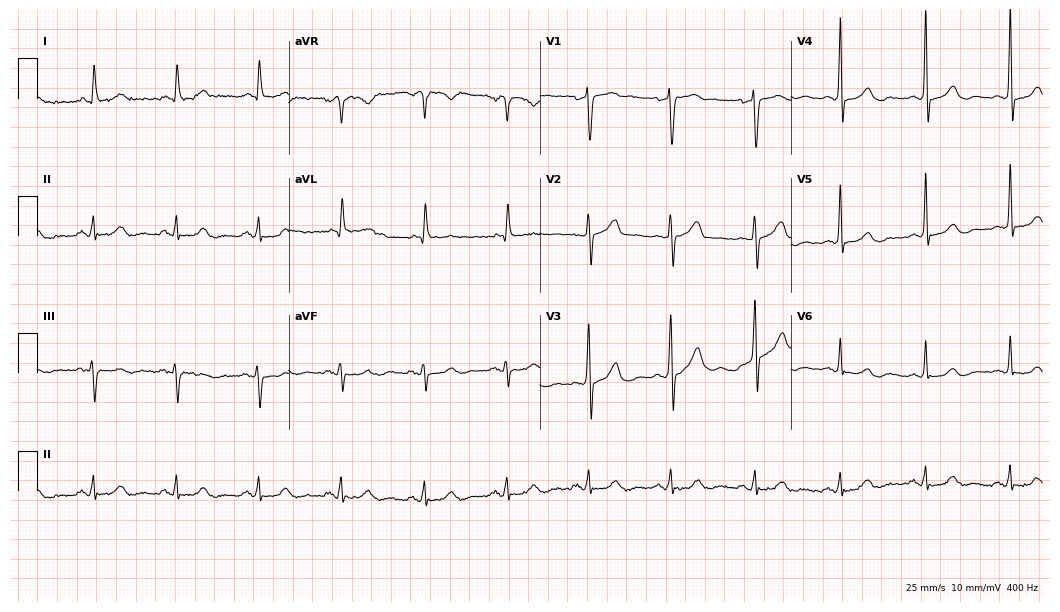
Electrocardiogram, a male patient, 66 years old. Overall reading on record: normal ECG.